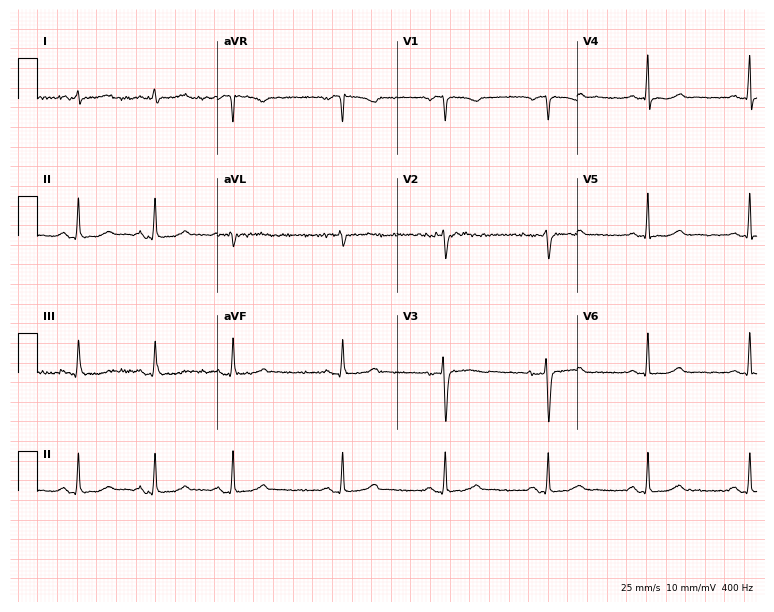
Electrocardiogram (7.3-second recording at 400 Hz), a female patient, 37 years old. Overall reading on record: normal ECG.